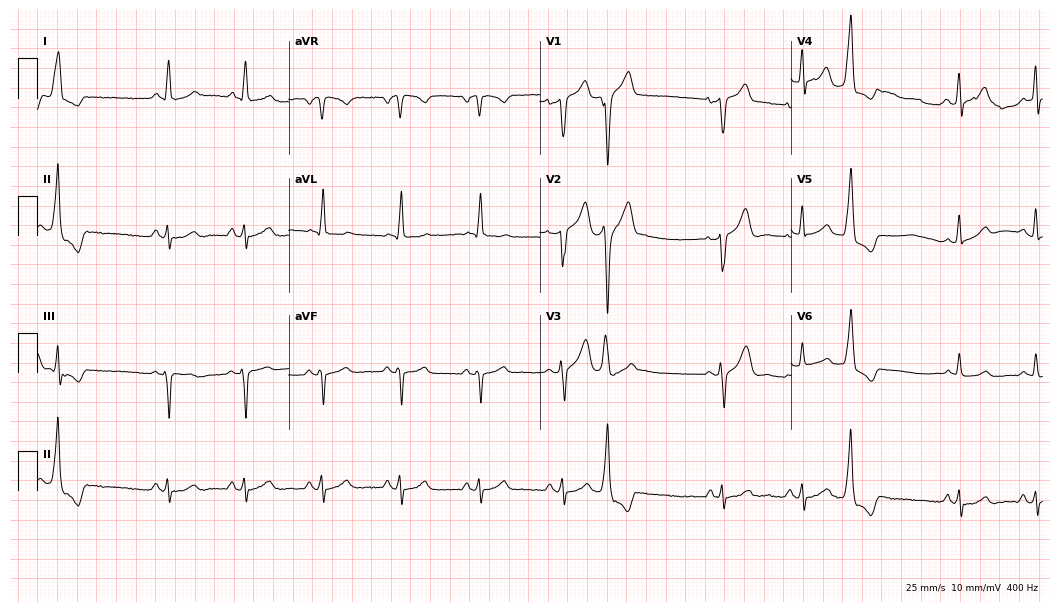
Standard 12-lead ECG recorded from a man, 65 years old. None of these six findings is recorded: first-degree AV block, right bundle branch block, left bundle branch block, sinus bradycardia, atrial fibrillation, sinus tachycardia.